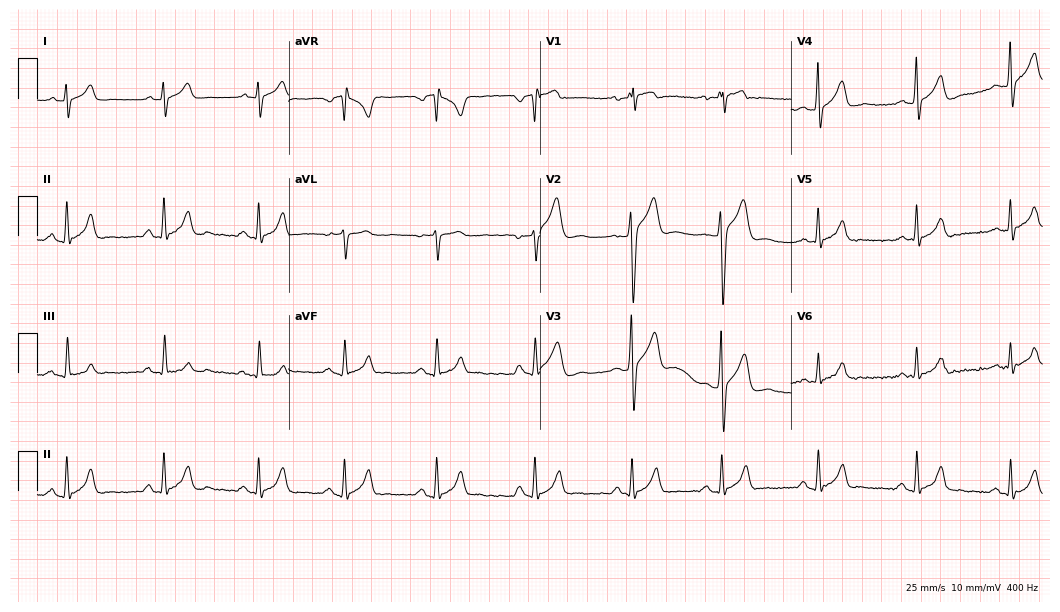
12-lead ECG from a male, 23 years old. Recorded interpretation: within normal limits.